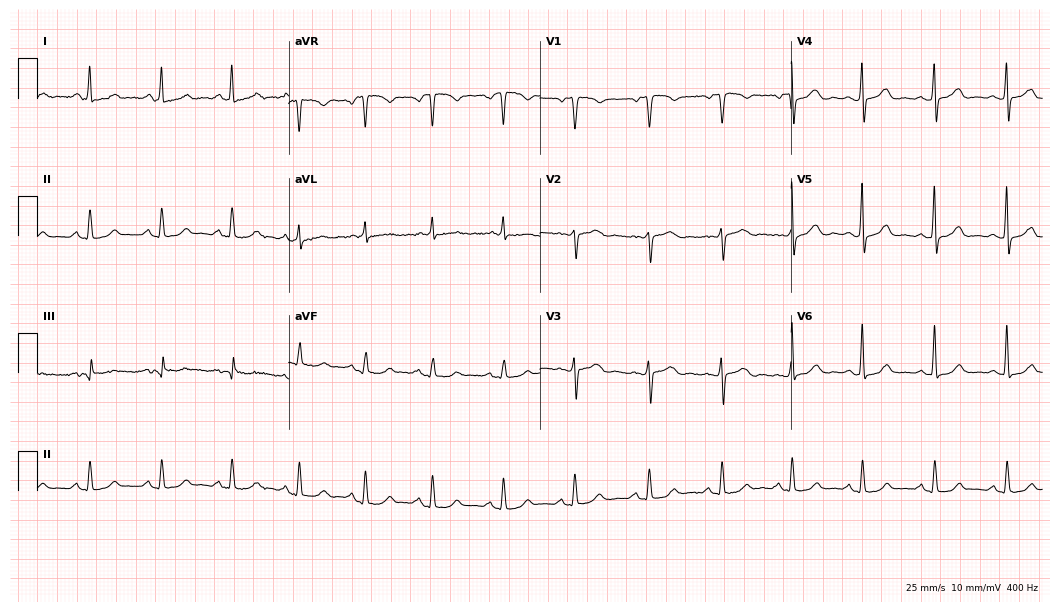
12-lead ECG from a female patient, 52 years old (10.2-second recording at 400 Hz). Recorded interpretation: within normal limits.